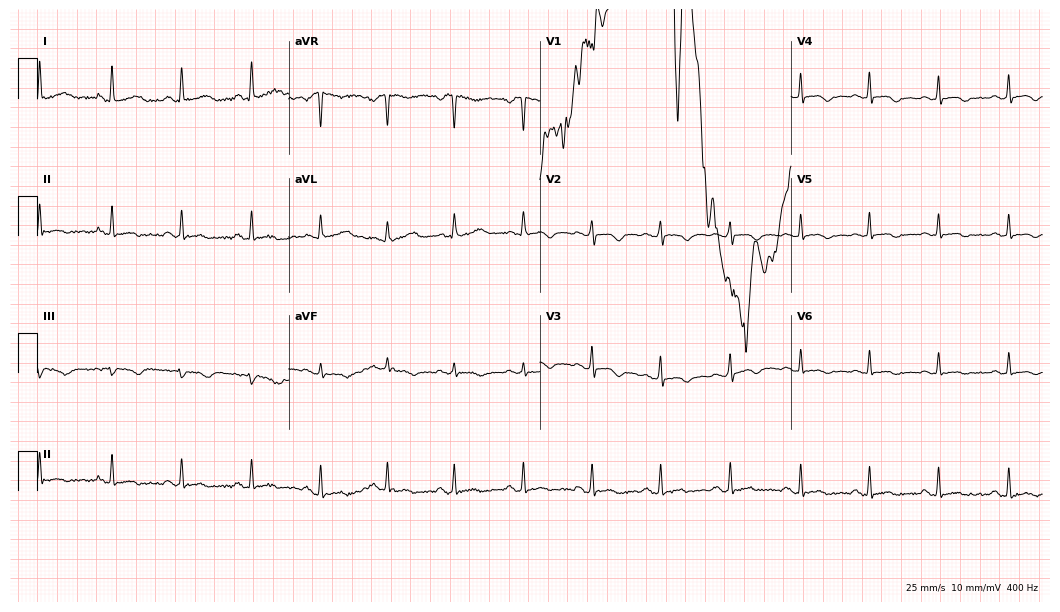
12-lead ECG from a female, 36 years old (10.2-second recording at 400 Hz). No first-degree AV block, right bundle branch block, left bundle branch block, sinus bradycardia, atrial fibrillation or sinus tachycardia recorded for this tracing. Only these six findings were labelled.